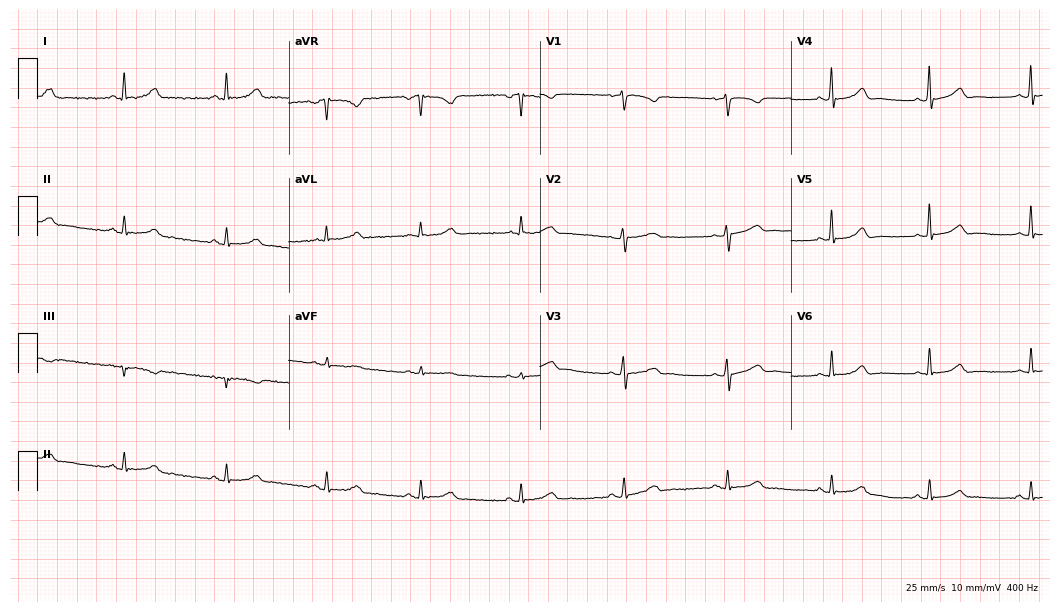
ECG (10.2-second recording at 400 Hz) — a female, 47 years old. Labelled as a normal ECG.